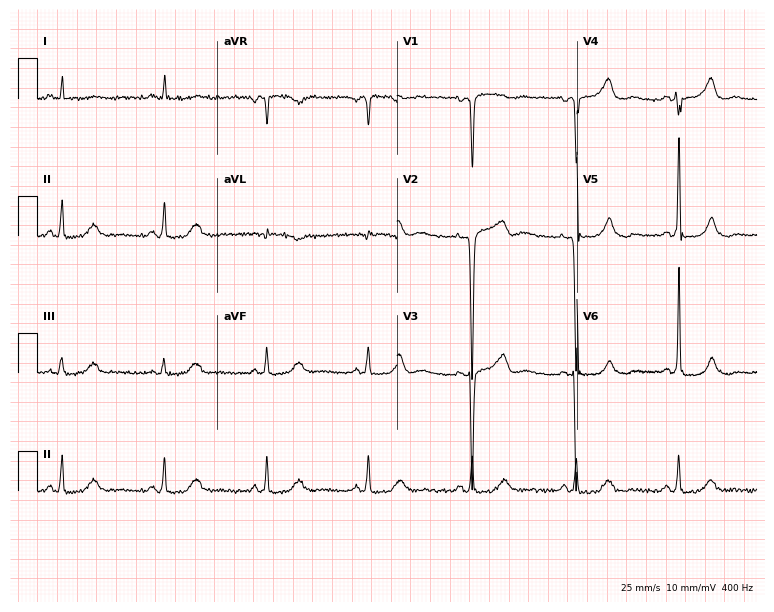
12-lead ECG from an 80-year-old female patient. Screened for six findings — first-degree AV block, right bundle branch block, left bundle branch block, sinus bradycardia, atrial fibrillation, sinus tachycardia — none is recorded.